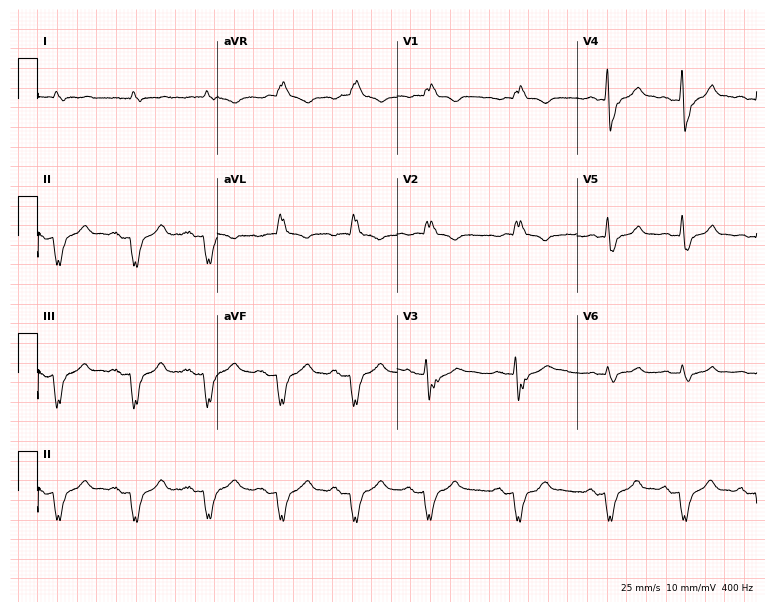
Standard 12-lead ECG recorded from a male, 82 years old. The tracing shows right bundle branch block (RBBB).